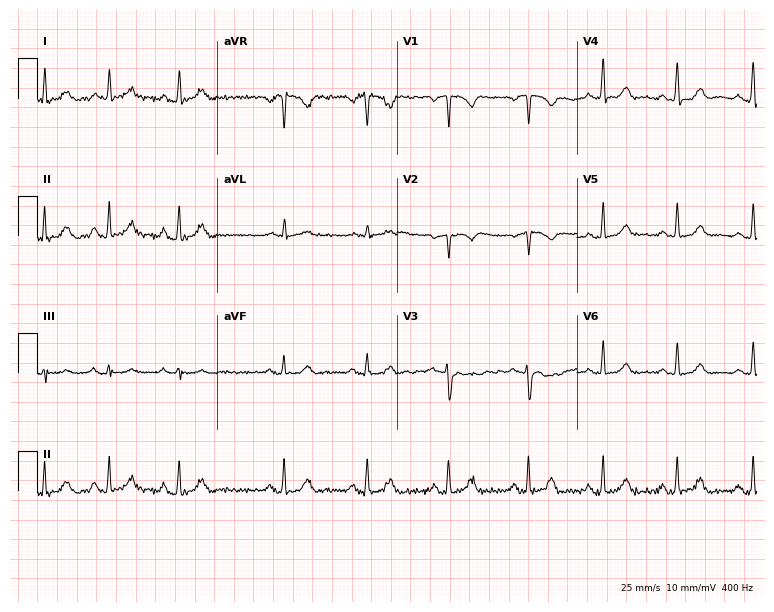
Resting 12-lead electrocardiogram (7.3-second recording at 400 Hz). Patient: a 51-year-old female. None of these six findings is recorded: first-degree AV block, right bundle branch block (RBBB), left bundle branch block (LBBB), sinus bradycardia, atrial fibrillation (AF), sinus tachycardia.